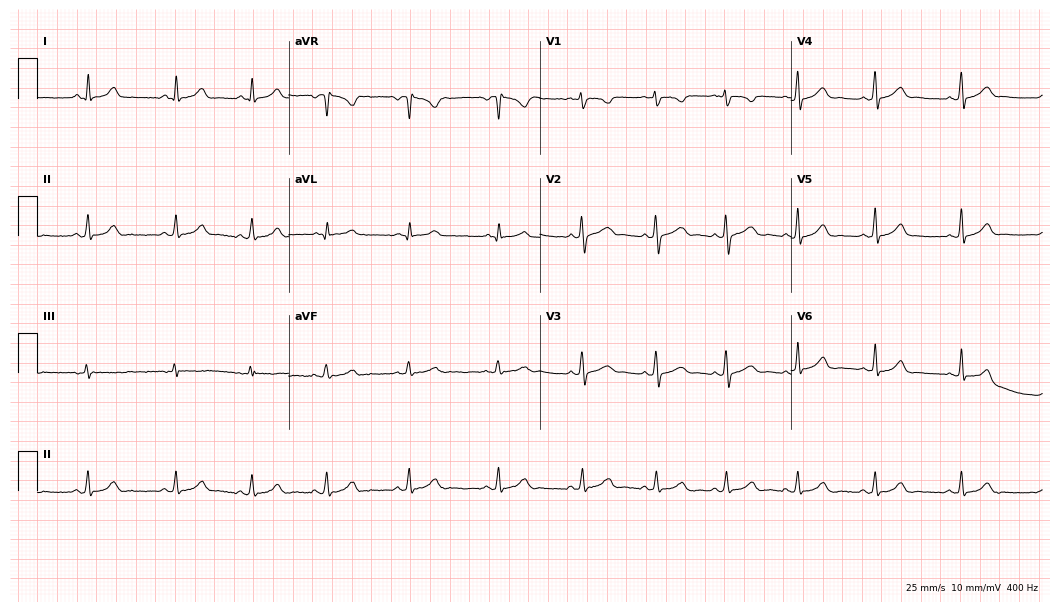
12-lead ECG (10.2-second recording at 400 Hz) from a female patient, 25 years old. Screened for six findings — first-degree AV block, right bundle branch block, left bundle branch block, sinus bradycardia, atrial fibrillation, sinus tachycardia — none is recorded.